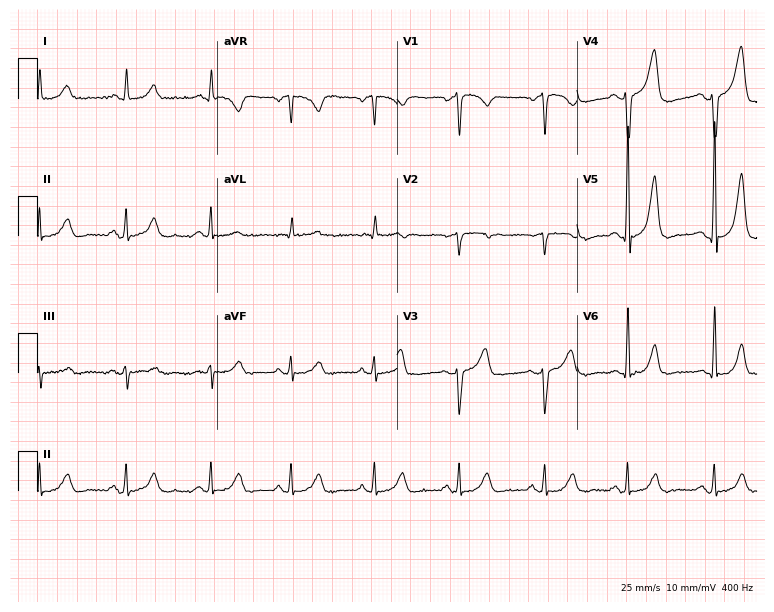
Resting 12-lead electrocardiogram (7.3-second recording at 400 Hz). Patient: a 65-year-old man. None of these six findings is recorded: first-degree AV block, right bundle branch block, left bundle branch block, sinus bradycardia, atrial fibrillation, sinus tachycardia. Findings outside these six are not listed.